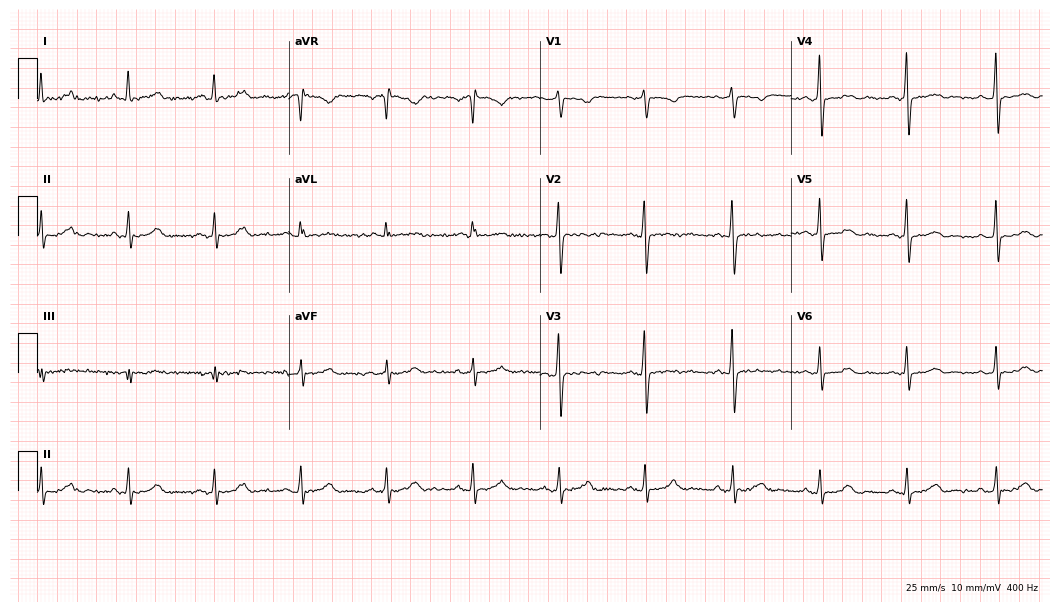
Resting 12-lead electrocardiogram (10.2-second recording at 400 Hz). Patient: a 44-year-old woman. None of these six findings is recorded: first-degree AV block, right bundle branch block (RBBB), left bundle branch block (LBBB), sinus bradycardia, atrial fibrillation (AF), sinus tachycardia. Only these six findings were labelled.